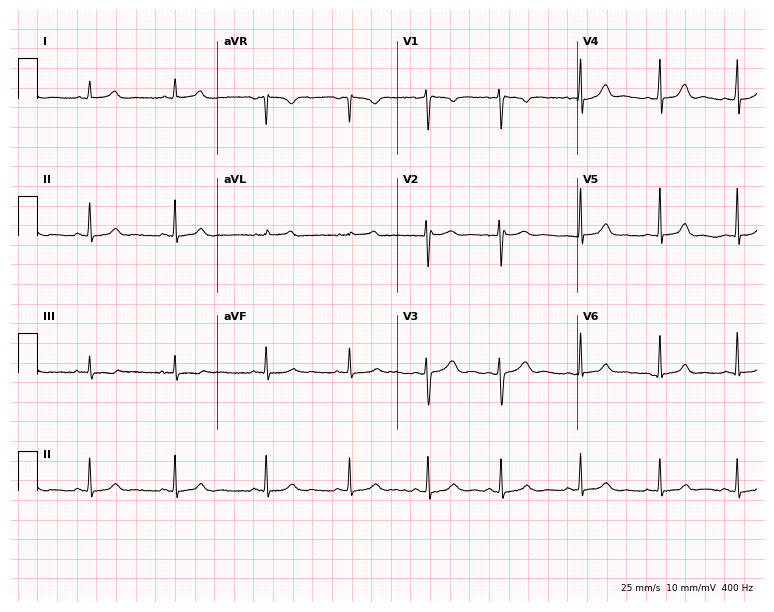
12-lead ECG from a woman, 34 years old. Screened for six findings — first-degree AV block, right bundle branch block, left bundle branch block, sinus bradycardia, atrial fibrillation, sinus tachycardia — none is recorded.